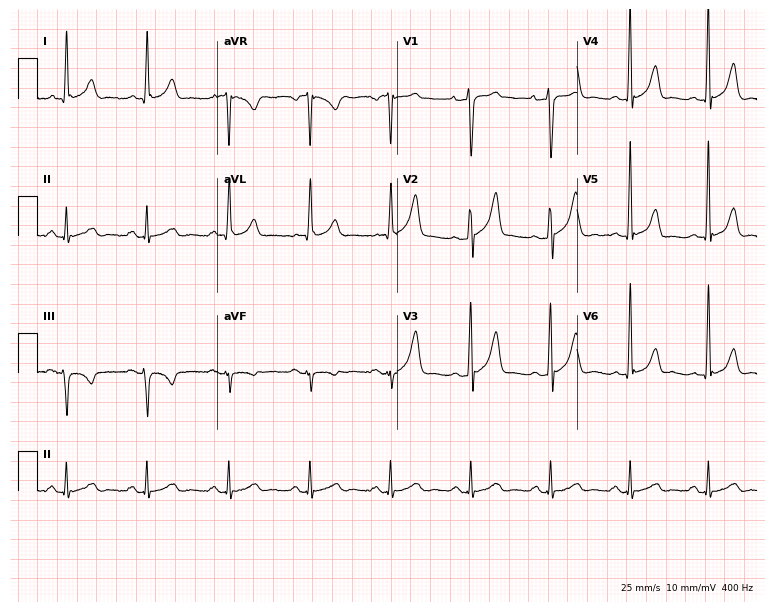
12-lead ECG (7.3-second recording at 400 Hz) from a 47-year-old male. Labelled as a normal ECG.